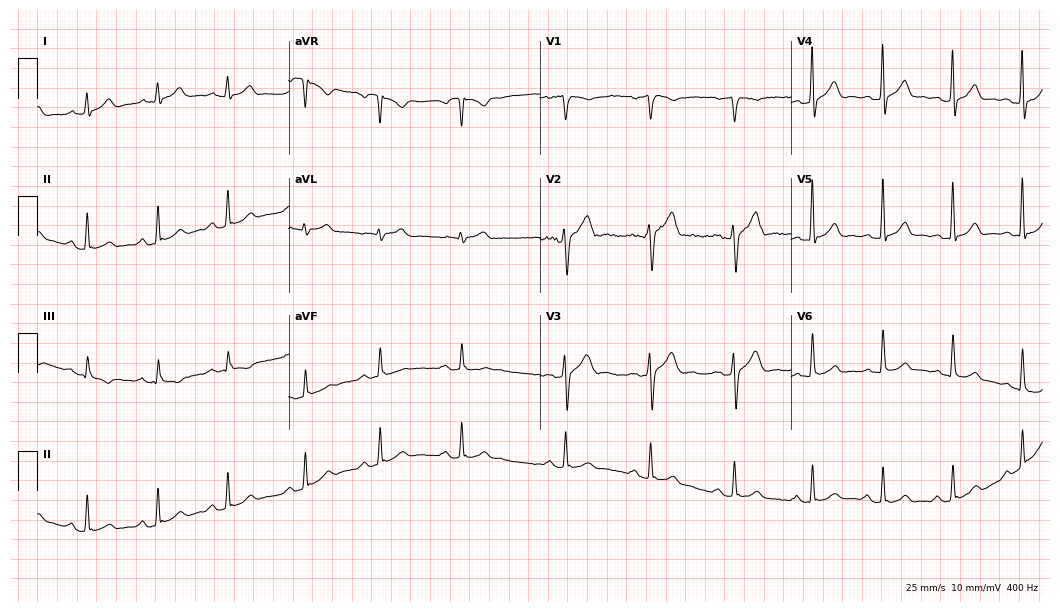
Standard 12-lead ECG recorded from a 40-year-old male patient. Read as a normal ECG.